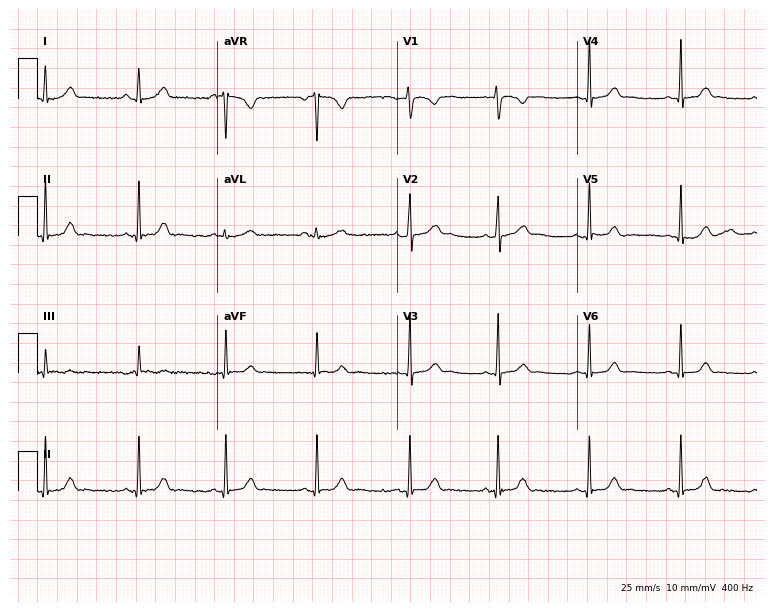
Standard 12-lead ECG recorded from a woman, 17 years old (7.3-second recording at 400 Hz). None of these six findings is recorded: first-degree AV block, right bundle branch block, left bundle branch block, sinus bradycardia, atrial fibrillation, sinus tachycardia. Findings outside these six are not listed.